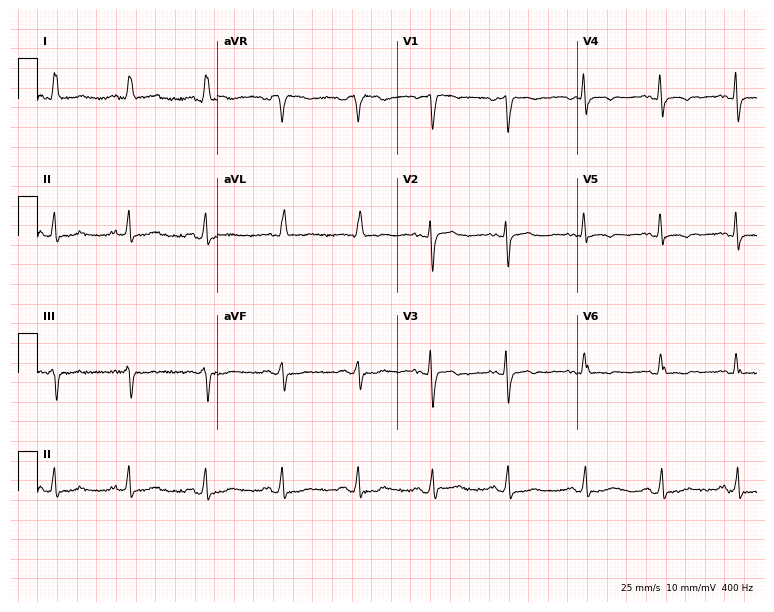
12-lead ECG from a female patient, 81 years old. Labelled as a normal ECG.